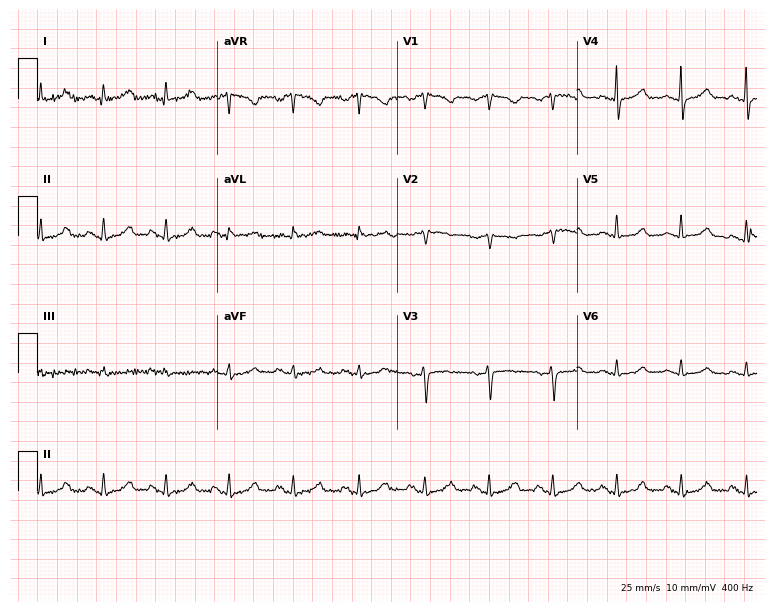
Electrocardiogram (7.3-second recording at 400 Hz), a 47-year-old female. Of the six screened findings (first-degree AV block, right bundle branch block (RBBB), left bundle branch block (LBBB), sinus bradycardia, atrial fibrillation (AF), sinus tachycardia), none is recorded. Other findings, if any, are not listed.